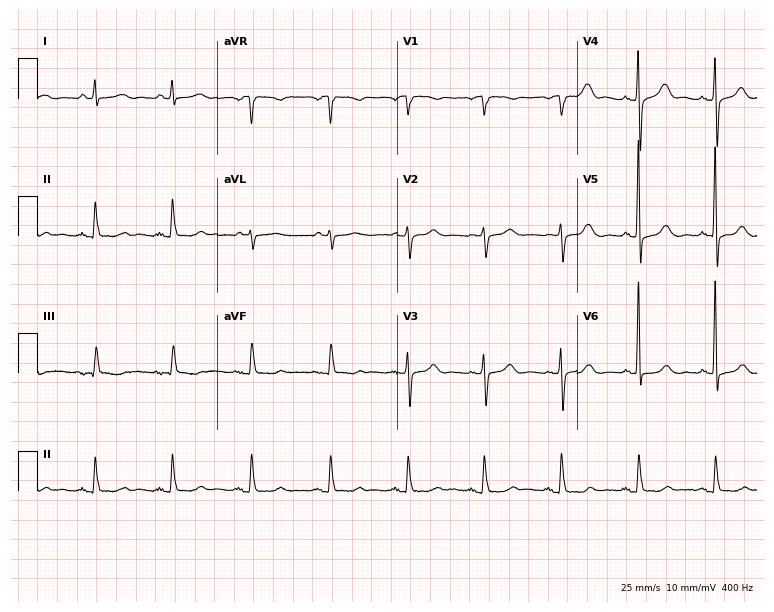
12-lead ECG from a female patient, 70 years old. Screened for six findings — first-degree AV block, right bundle branch block, left bundle branch block, sinus bradycardia, atrial fibrillation, sinus tachycardia — none is recorded.